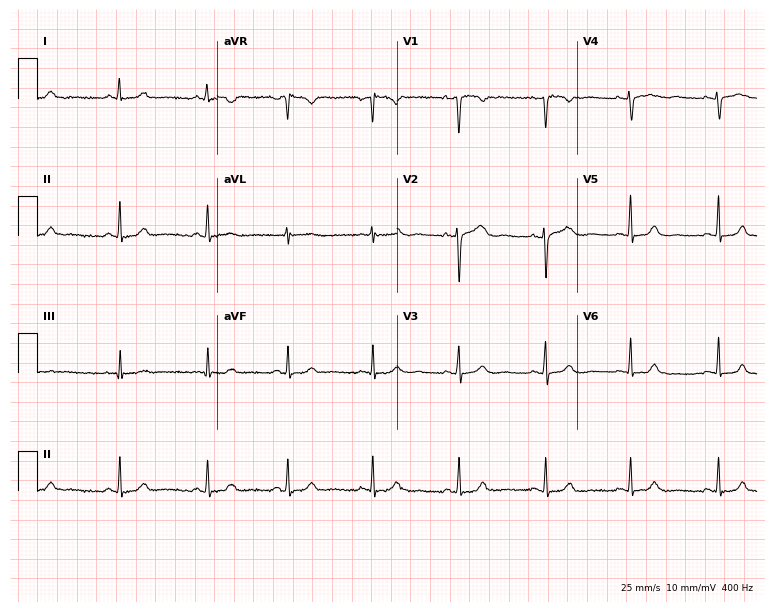
Resting 12-lead electrocardiogram. Patient: a 38-year-old female. Read as a normal ECG.